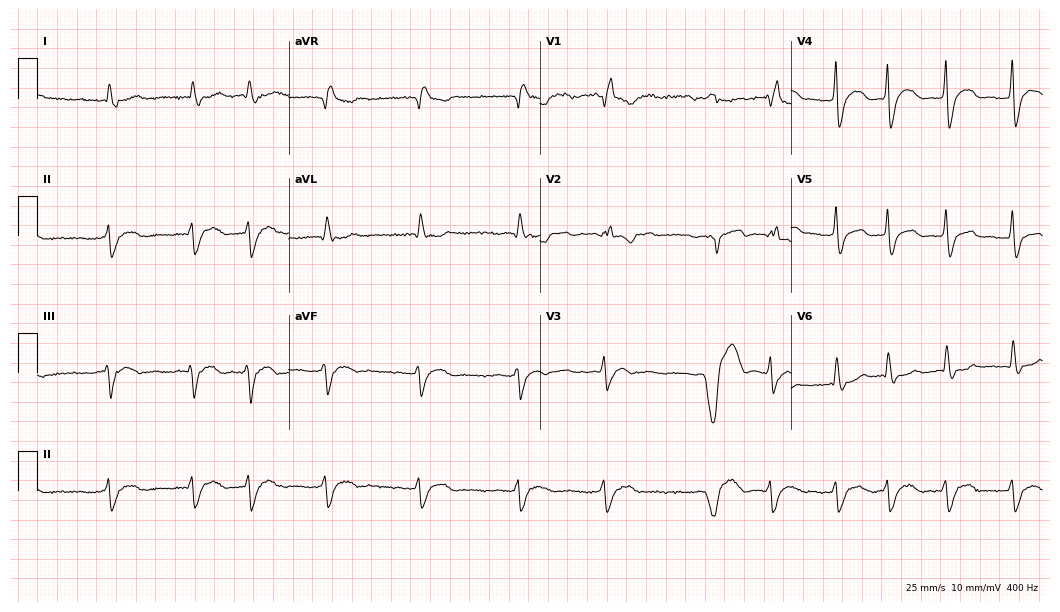
Resting 12-lead electrocardiogram. Patient: a 72-year-old female. The tracing shows right bundle branch block, atrial fibrillation.